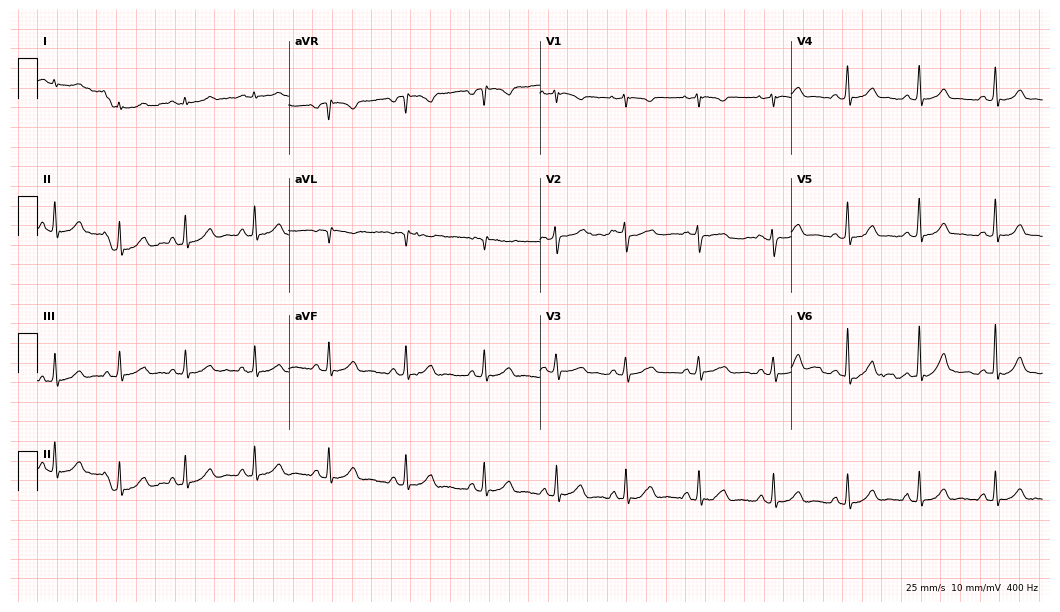
Standard 12-lead ECG recorded from a 26-year-old female. Read as a normal ECG.